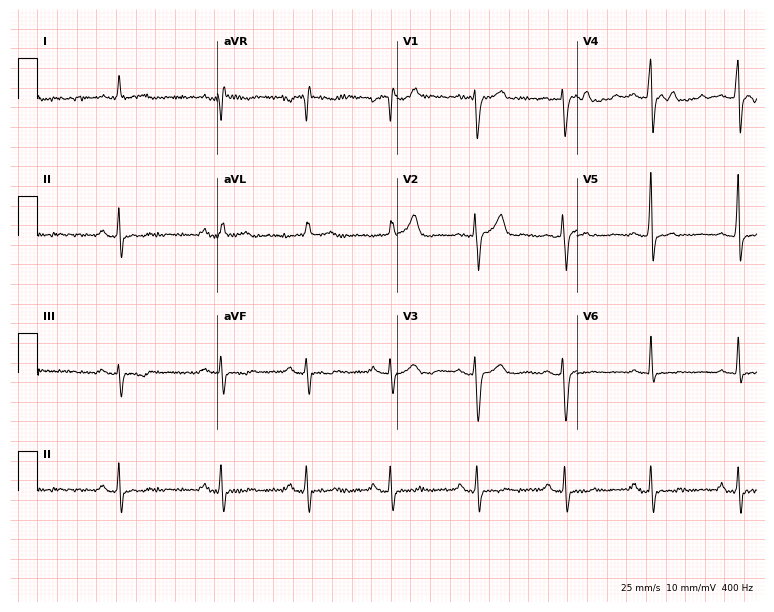
ECG (7.3-second recording at 400 Hz) — a male patient, 51 years old. Screened for six findings — first-degree AV block, right bundle branch block, left bundle branch block, sinus bradycardia, atrial fibrillation, sinus tachycardia — none is recorded. Only these six findings were labelled.